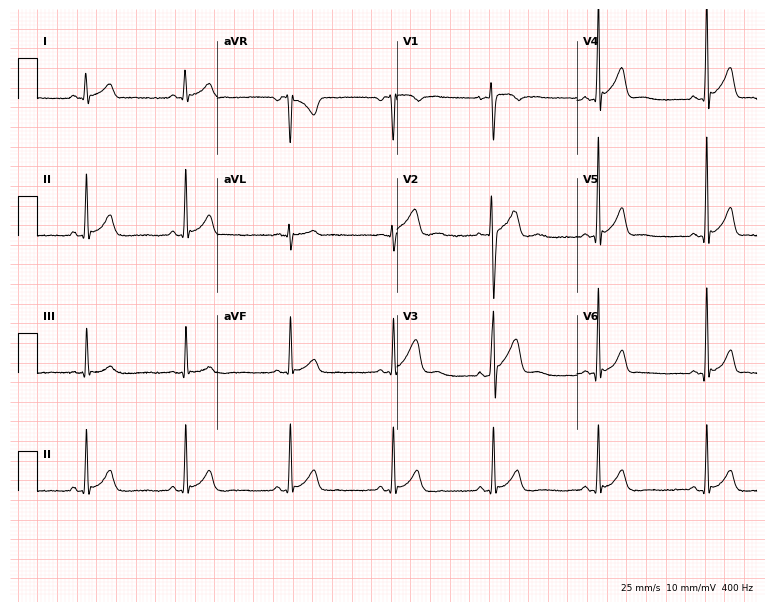
12-lead ECG (7.3-second recording at 400 Hz) from a 22-year-old male patient. Screened for six findings — first-degree AV block, right bundle branch block, left bundle branch block, sinus bradycardia, atrial fibrillation, sinus tachycardia — none is recorded. Findings outside these six are not listed.